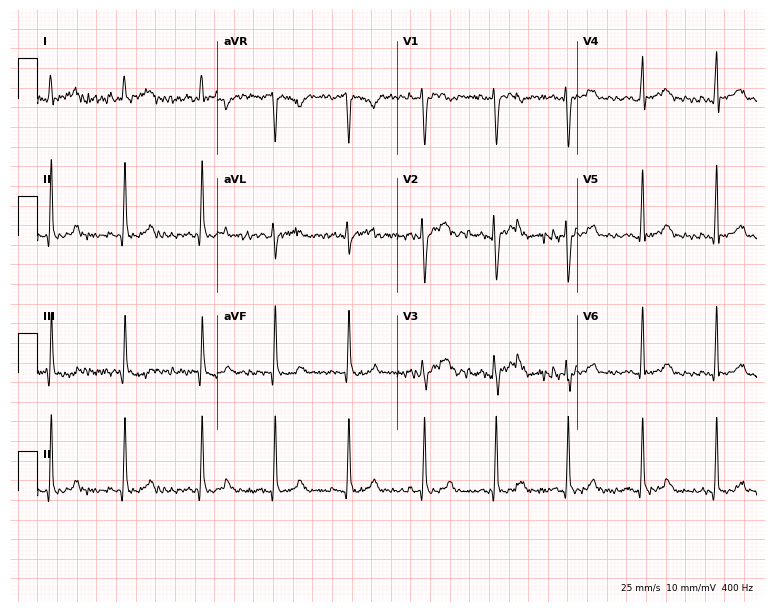
12-lead ECG from a 30-year-old female. Recorded interpretation: within normal limits.